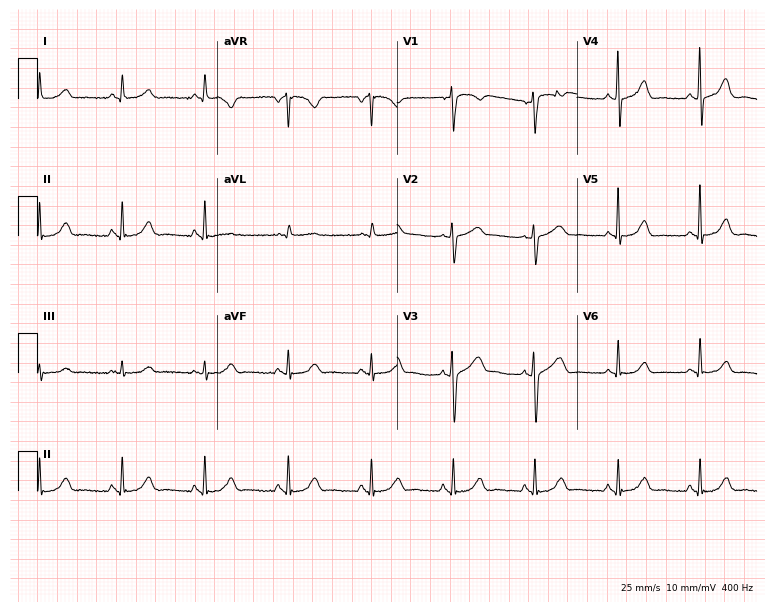
12-lead ECG from a 68-year-old woman (7.3-second recording at 400 Hz). Recorded interpretation: within normal limits.